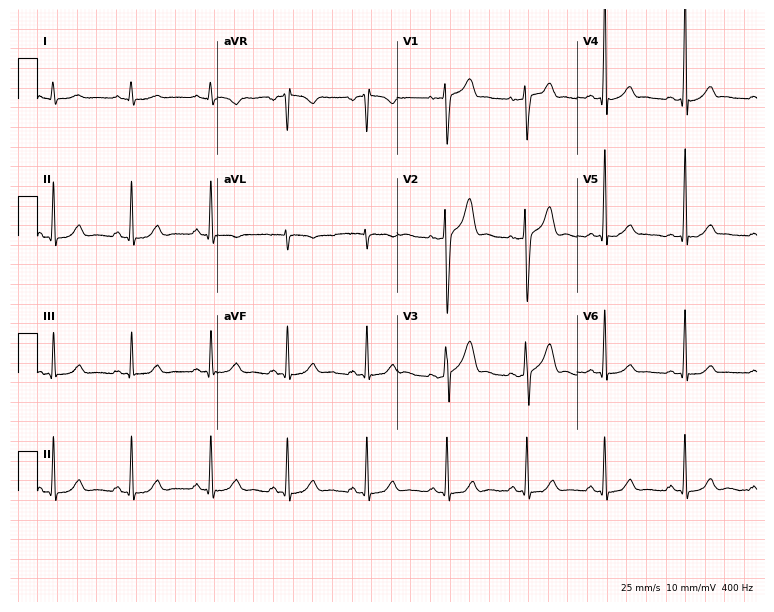
12-lead ECG (7.3-second recording at 400 Hz) from a male patient, 23 years old. Labelled as a normal ECG.